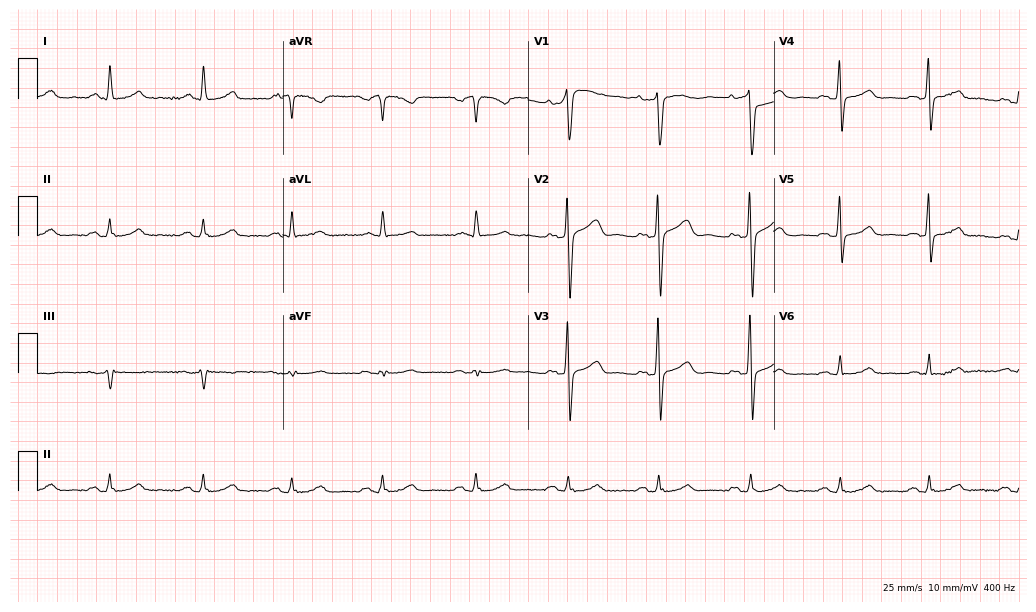
12-lead ECG (10-second recording at 400 Hz) from a 73-year-old male patient. Screened for six findings — first-degree AV block, right bundle branch block, left bundle branch block, sinus bradycardia, atrial fibrillation, sinus tachycardia — none is recorded.